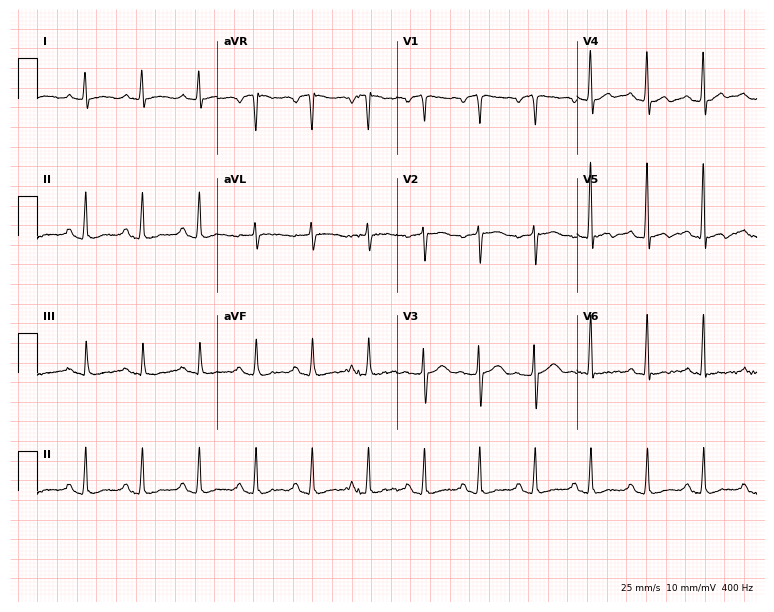
Resting 12-lead electrocardiogram (7.3-second recording at 400 Hz). Patient: a male, 54 years old. The tracing shows sinus tachycardia (a sinus rate of 100 beats per minute or more).